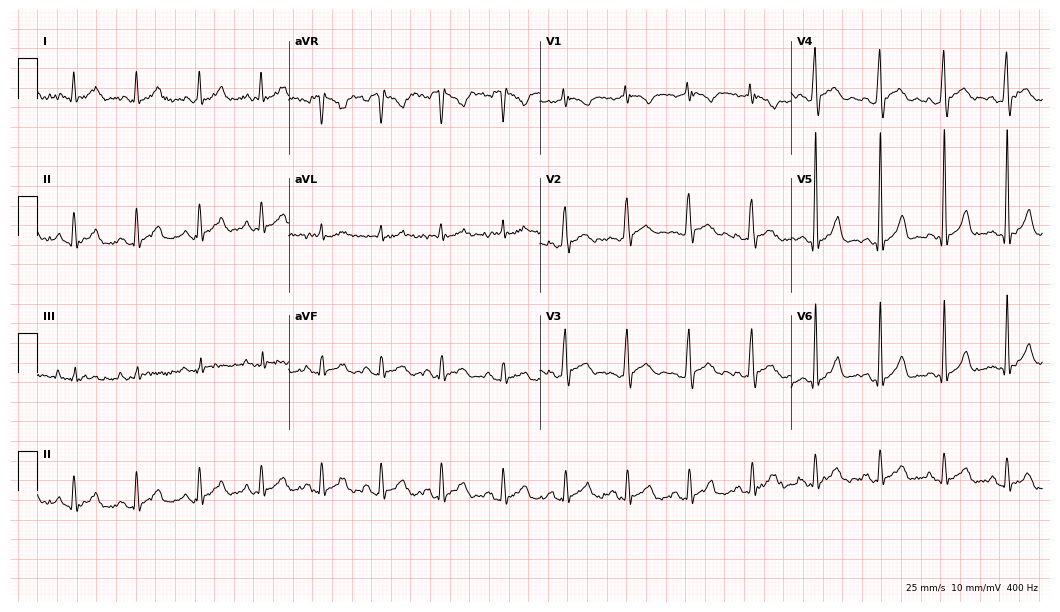
Electrocardiogram (10.2-second recording at 400 Hz), a 25-year-old male. Of the six screened findings (first-degree AV block, right bundle branch block (RBBB), left bundle branch block (LBBB), sinus bradycardia, atrial fibrillation (AF), sinus tachycardia), none is recorded. Other findings, if any, are not listed.